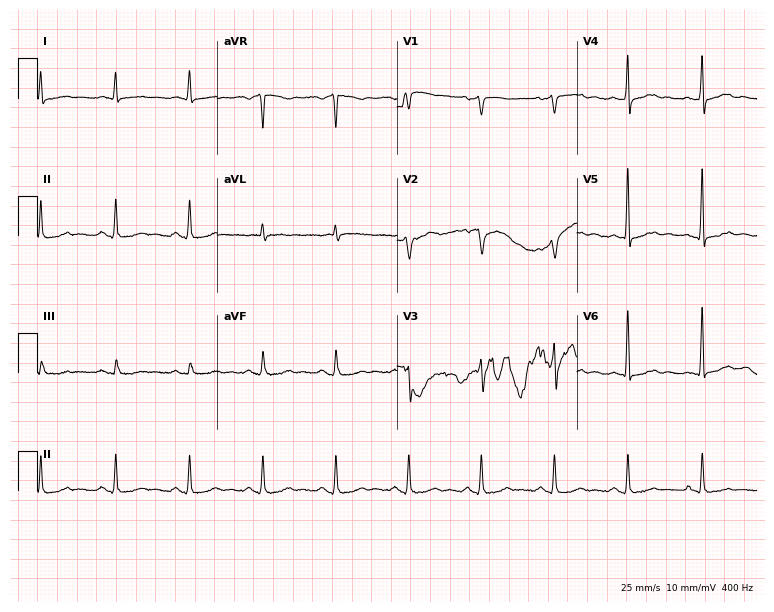
12-lead ECG from a male patient, 63 years old. Screened for six findings — first-degree AV block, right bundle branch block, left bundle branch block, sinus bradycardia, atrial fibrillation, sinus tachycardia — none is recorded. Only these six findings were labelled.